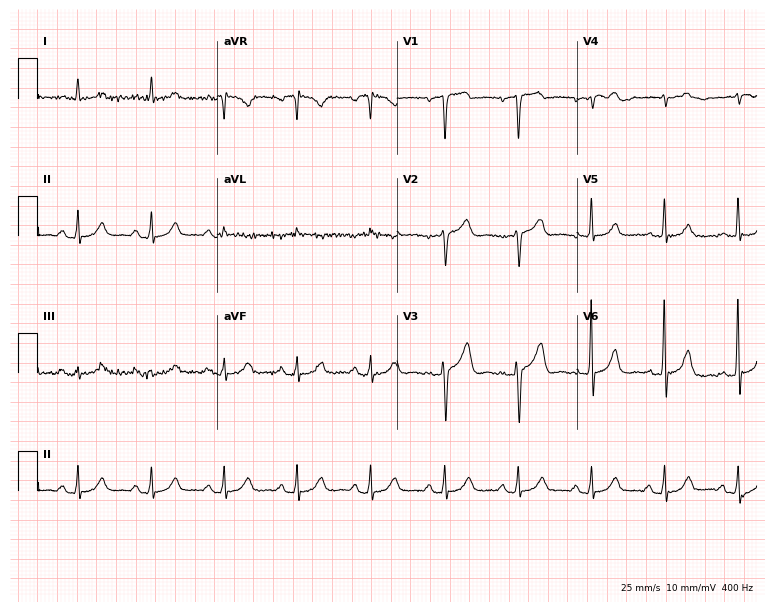
12-lead ECG from a man, 79 years old. No first-degree AV block, right bundle branch block, left bundle branch block, sinus bradycardia, atrial fibrillation or sinus tachycardia recorded for this tracing. Only these six findings were labelled.